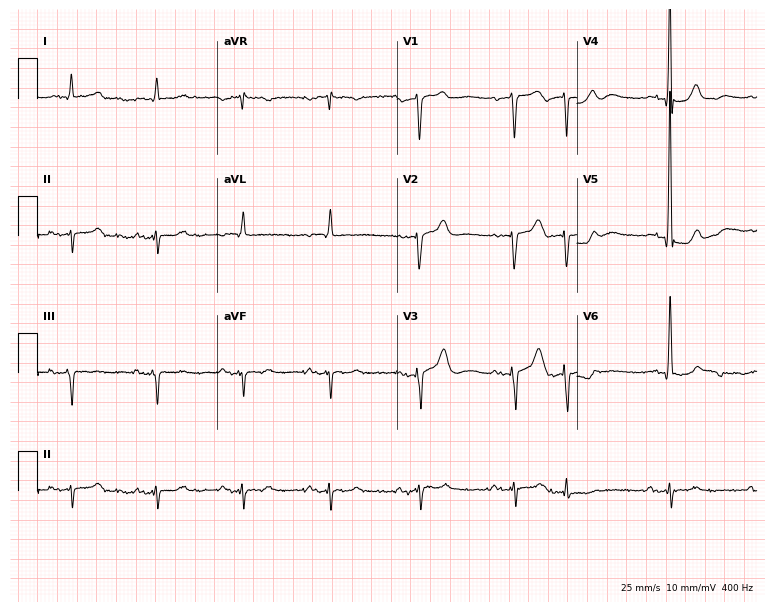
ECG (7.3-second recording at 400 Hz) — a male, 72 years old. Screened for six findings — first-degree AV block, right bundle branch block (RBBB), left bundle branch block (LBBB), sinus bradycardia, atrial fibrillation (AF), sinus tachycardia — none is recorded. Other findings, if any, are not listed.